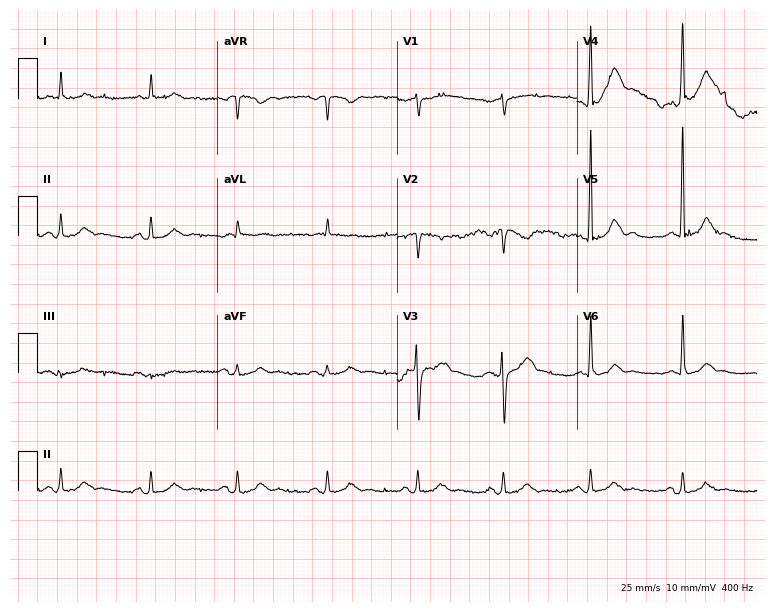
ECG (7.3-second recording at 400 Hz) — a male patient, 67 years old. Labelled as a normal ECG.